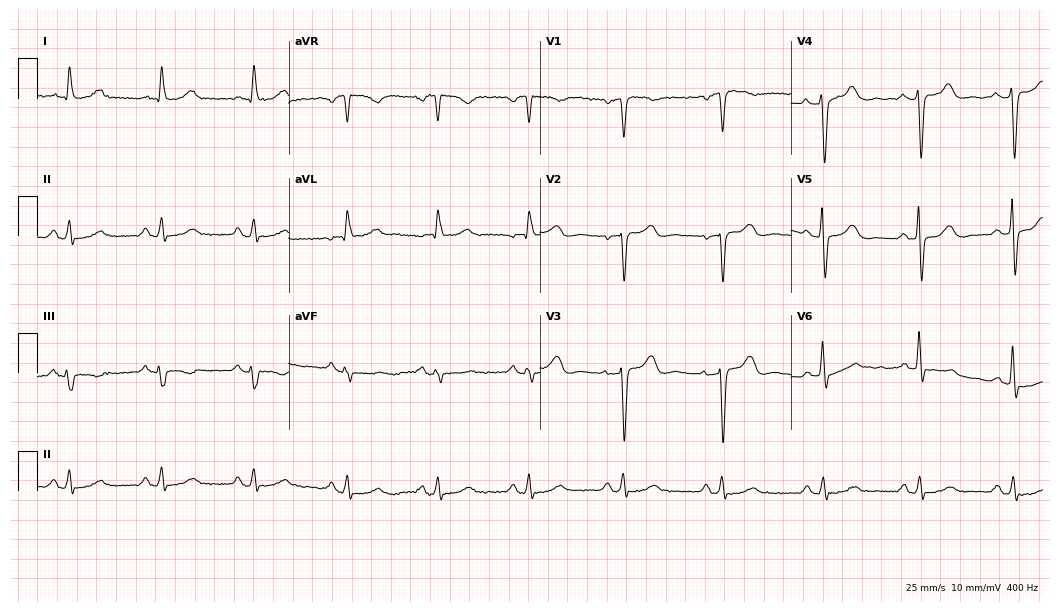
Standard 12-lead ECG recorded from a 73-year-old woman. None of these six findings is recorded: first-degree AV block, right bundle branch block, left bundle branch block, sinus bradycardia, atrial fibrillation, sinus tachycardia. Only these six findings were labelled.